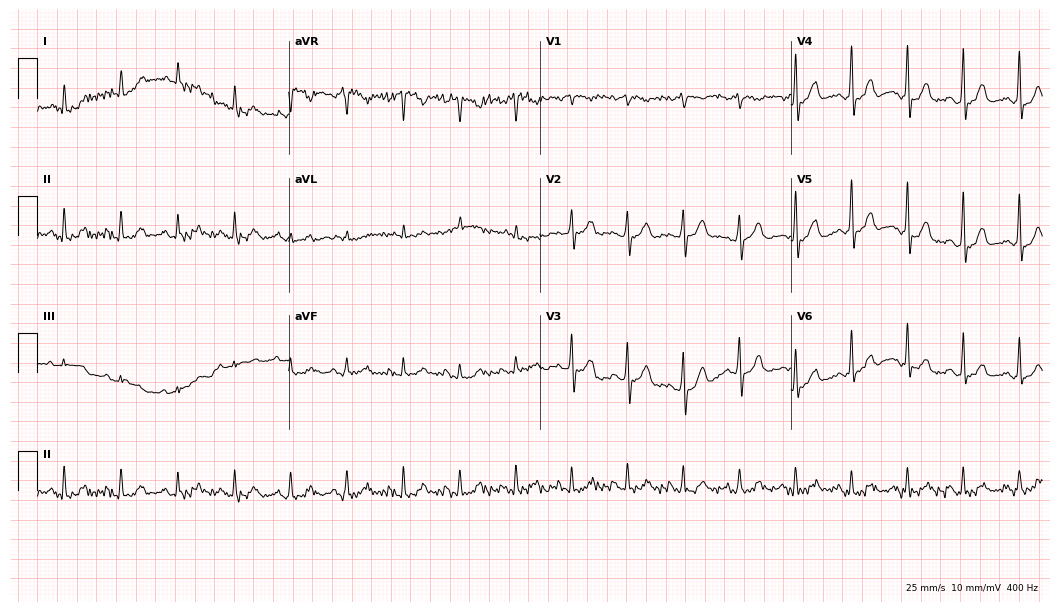
Resting 12-lead electrocardiogram. Patient: a male, 79 years old. None of these six findings is recorded: first-degree AV block, right bundle branch block, left bundle branch block, sinus bradycardia, atrial fibrillation, sinus tachycardia. Findings outside these six are not listed.